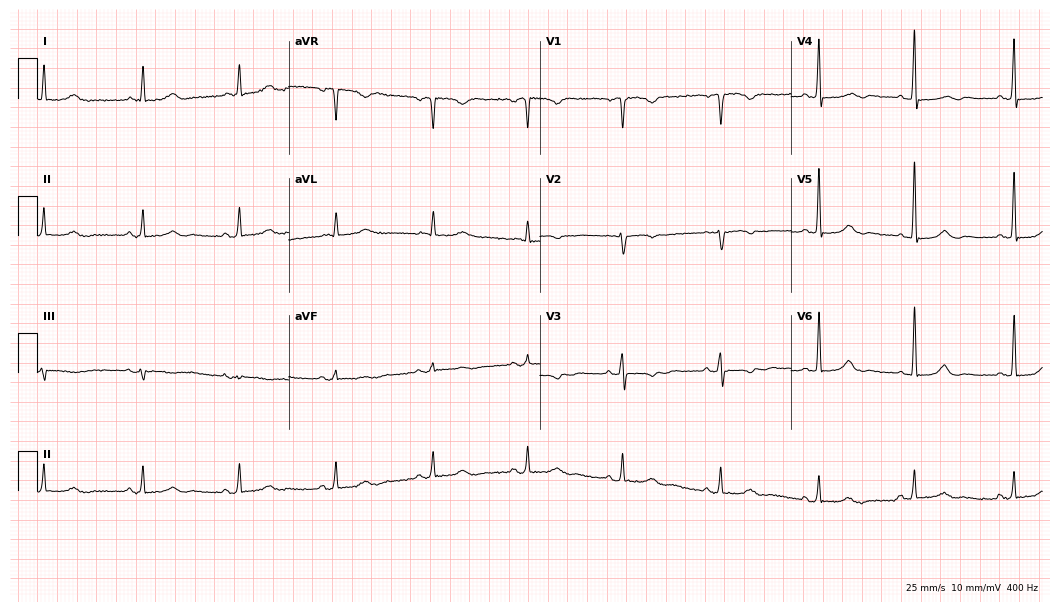
Resting 12-lead electrocardiogram. Patient: a female, 71 years old. Read as a normal ECG.